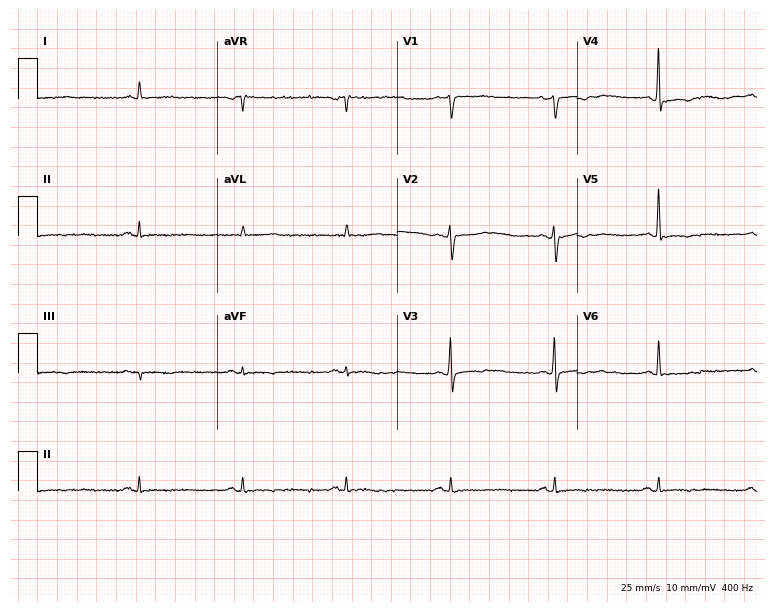
ECG (7.3-second recording at 400 Hz) — a 67-year-old man. Screened for six findings — first-degree AV block, right bundle branch block, left bundle branch block, sinus bradycardia, atrial fibrillation, sinus tachycardia — none is recorded. Only these six findings were labelled.